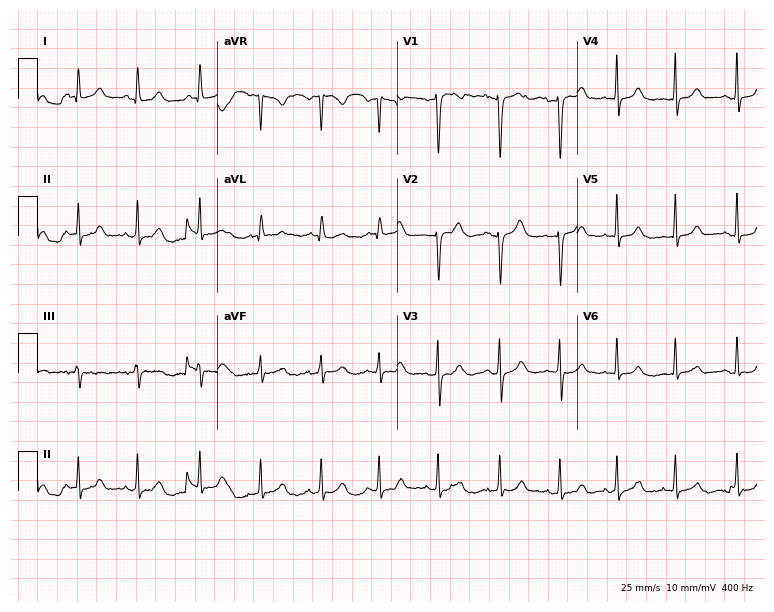
Standard 12-lead ECG recorded from a female patient, 36 years old. None of these six findings is recorded: first-degree AV block, right bundle branch block (RBBB), left bundle branch block (LBBB), sinus bradycardia, atrial fibrillation (AF), sinus tachycardia.